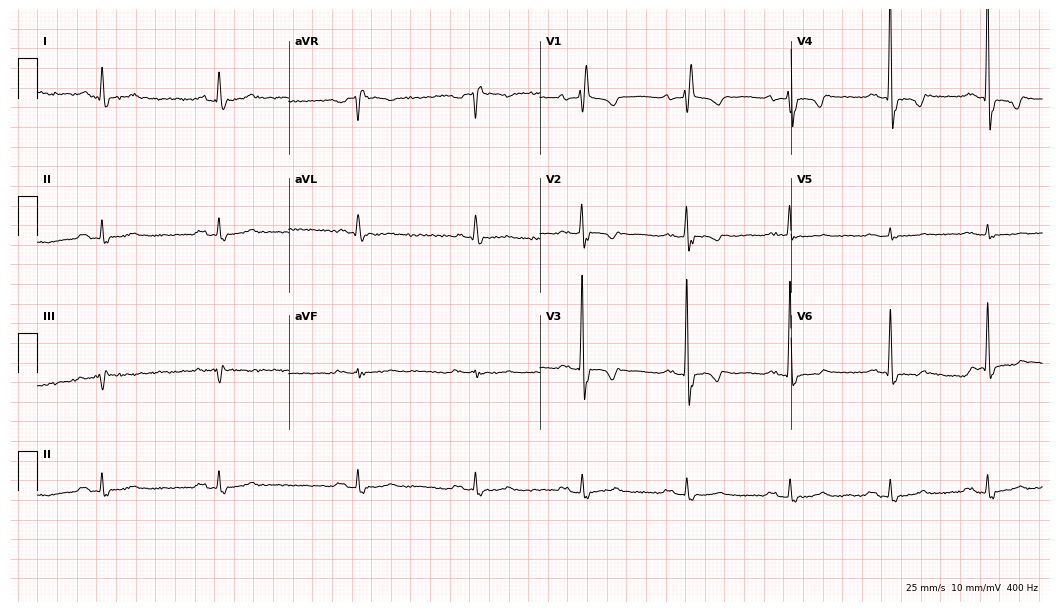
12-lead ECG from a 75-year-old female. Findings include right bundle branch block (RBBB).